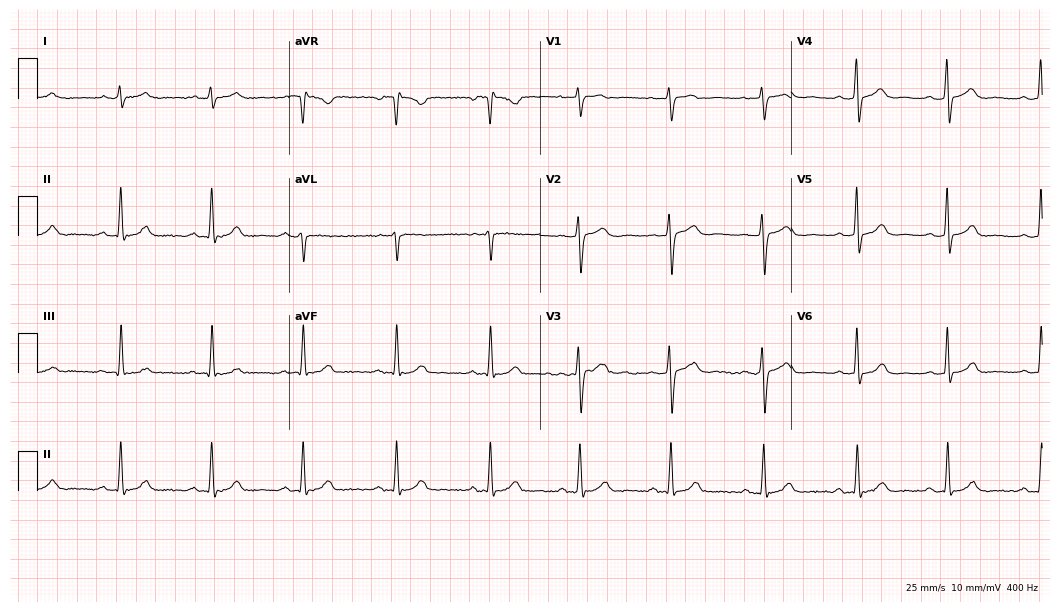
12-lead ECG from a female patient, 40 years old. Recorded interpretation: within normal limits.